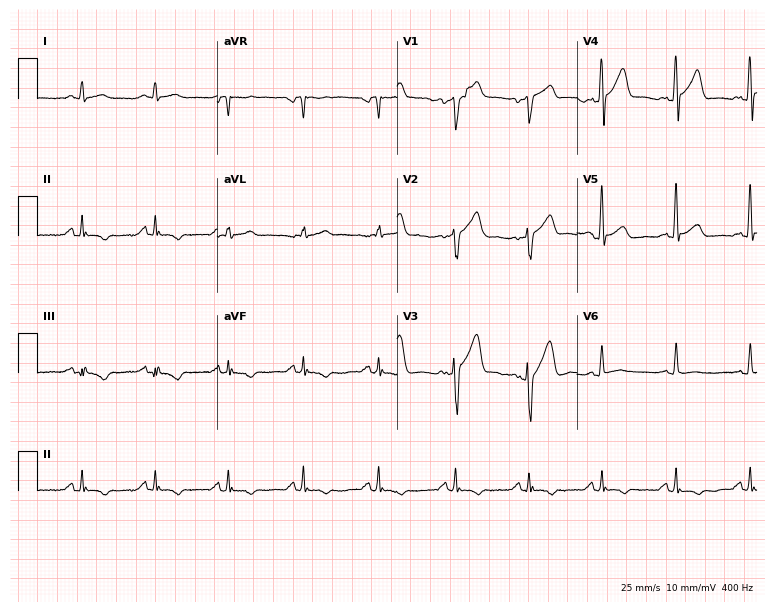
12-lead ECG (7.3-second recording at 400 Hz) from a male patient, 50 years old. Screened for six findings — first-degree AV block, right bundle branch block (RBBB), left bundle branch block (LBBB), sinus bradycardia, atrial fibrillation (AF), sinus tachycardia — none is recorded. Only these six findings were labelled.